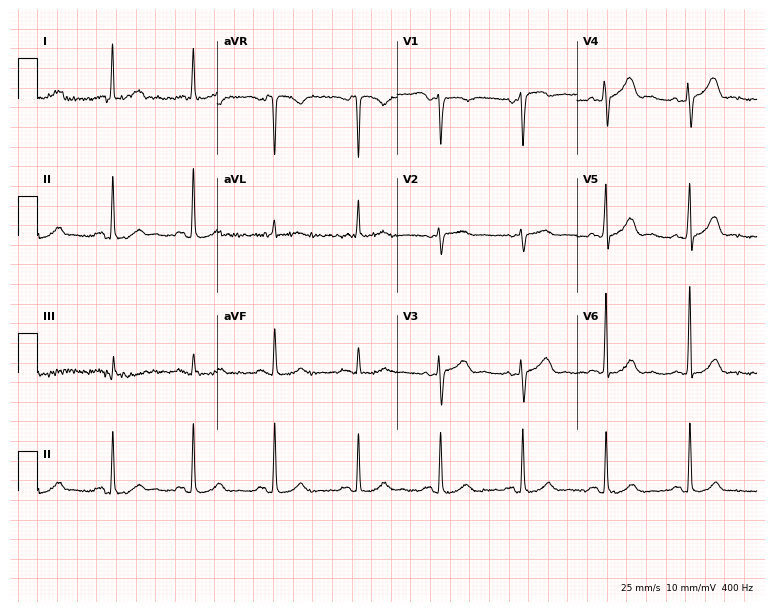
12-lead ECG from a 64-year-old female patient. Recorded interpretation: within normal limits.